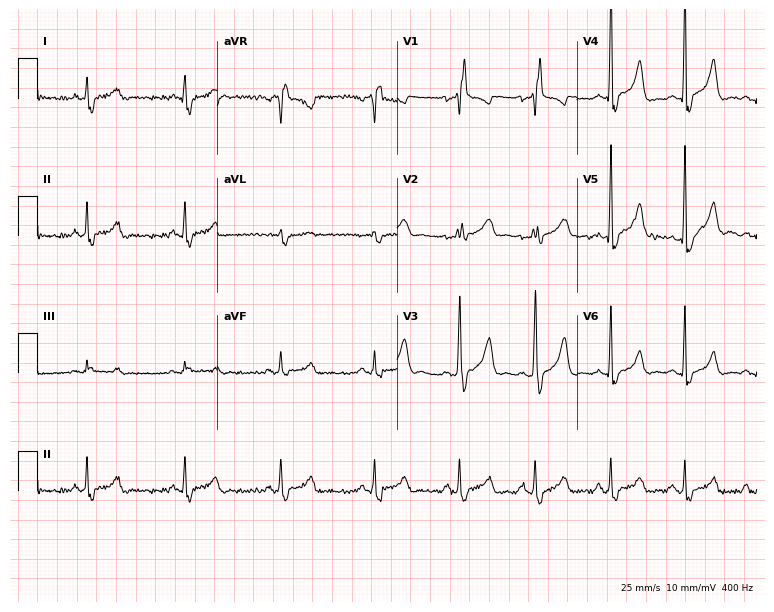
Resting 12-lead electrocardiogram. Patient: a male, 38 years old. The tracing shows right bundle branch block.